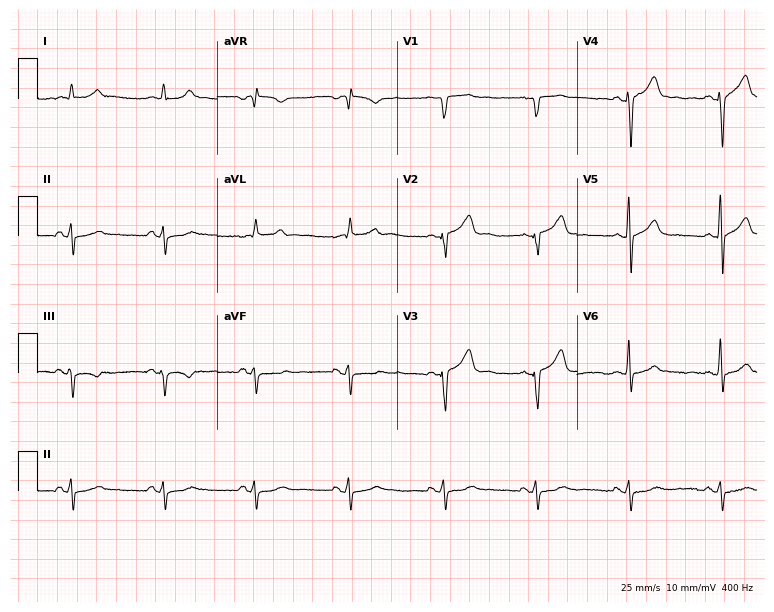
12-lead ECG from a man, 61 years old. Screened for six findings — first-degree AV block, right bundle branch block (RBBB), left bundle branch block (LBBB), sinus bradycardia, atrial fibrillation (AF), sinus tachycardia — none is recorded. Only these six findings were labelled.